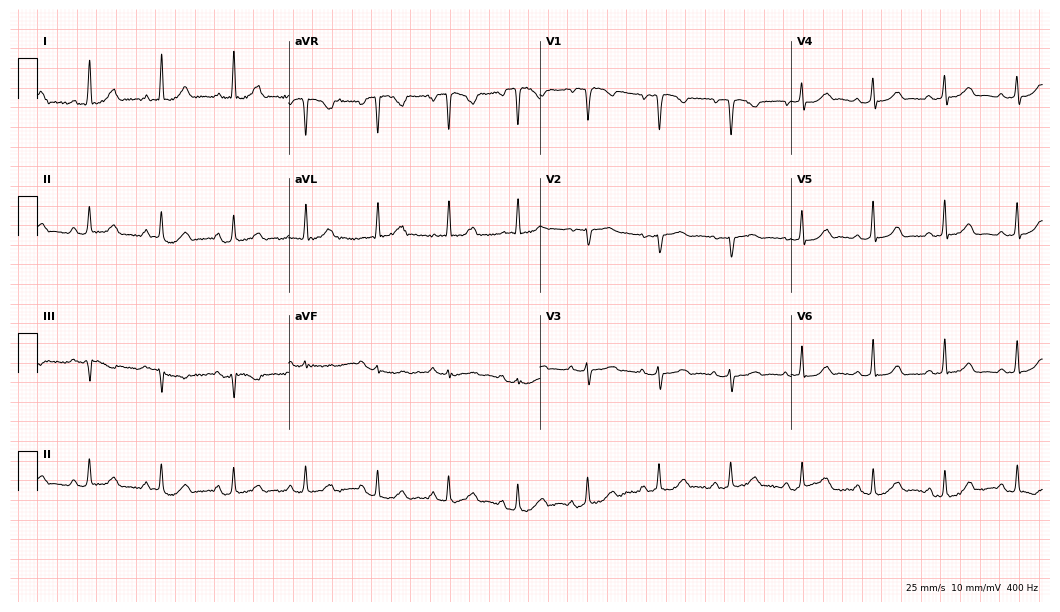
Resting 12-lead electrocardiogram. Patient: a 57-year-old female. None of these six findings is recorded: first-degree AV block, right bundle branch block, left bundle branch block, sinus bradycardia, atrial fibrillation, sinus tachycardia.